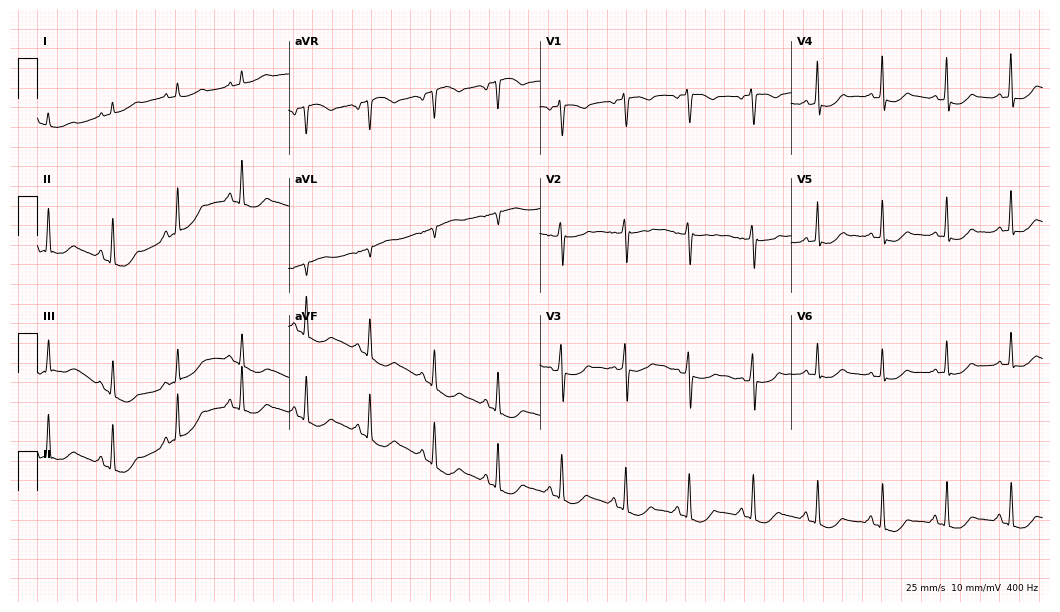
Standard 12-lead ECG recorded from a 58-year-old female (10.2-second recording at 400 Hz). None of these six findings is recorded: first-degree AV block, right bundle branch block, left bundle branch block, sinus bradycardia, atrial fibrillation, sinus tachycardia.